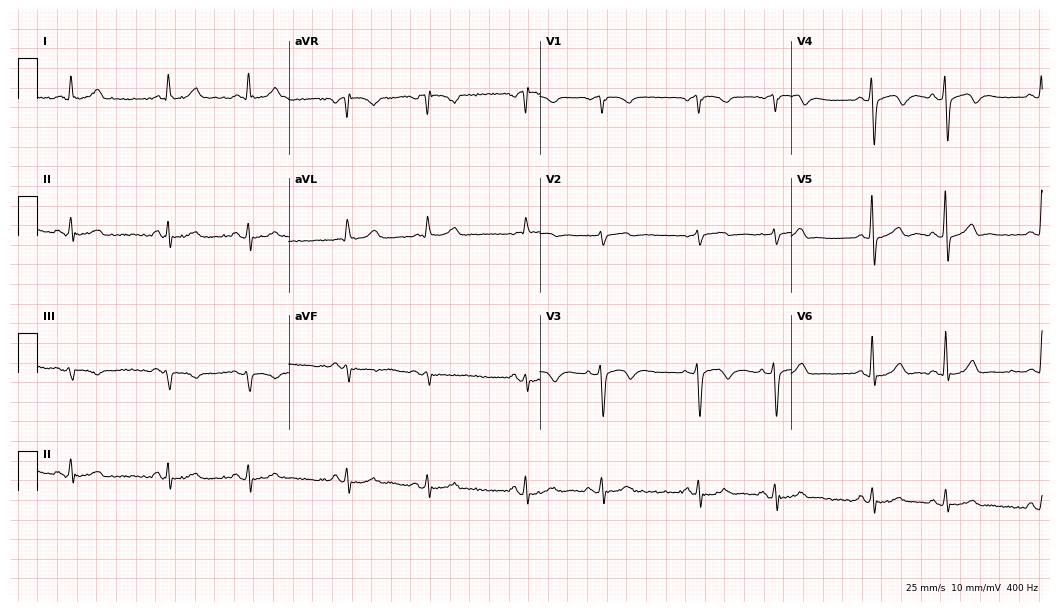
Resting 12-lead electrocardiogram. Patient: a man, 83 years old. None of these six findings is recorded: first-degree AV block, right bundle branch block, left bundle branch block, sinus bradycardia, atrial fibrillation, sinus tachycardia. Other findings, if any, are not listed.